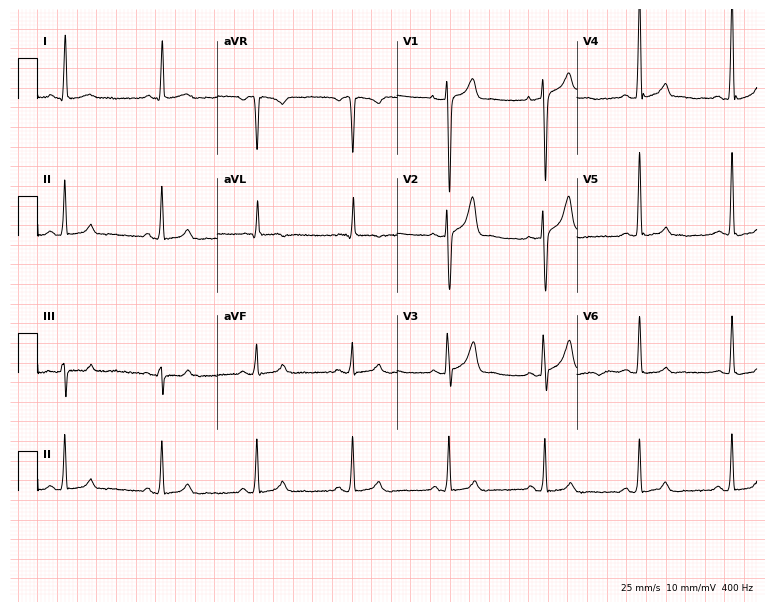
Resting 12-lead electrocardiogram. Patient: a 27-year-old male. Read as a normal ECG.